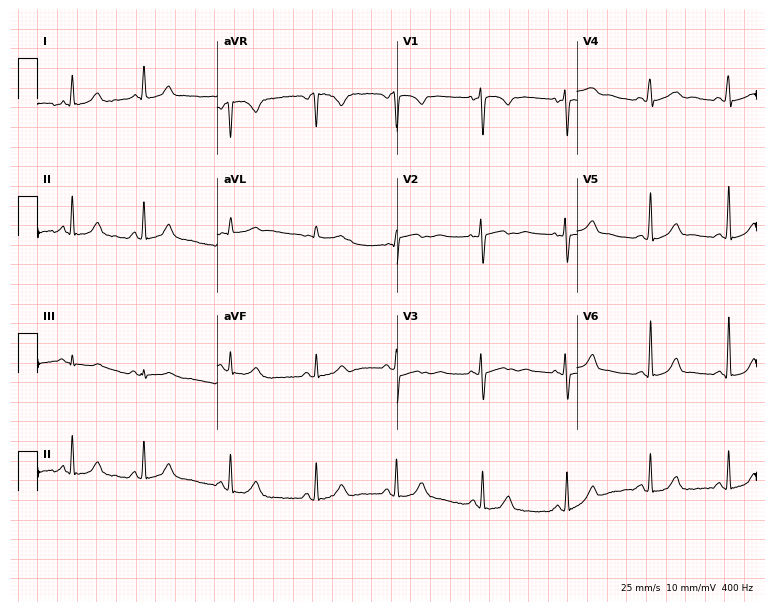
Standard 12-lead ECG recorded from a female patient, 29 years old (7.3-second recording at 400 Hz). None of these six findings is recorded: first-degree AV block, right bundle branch block (RBBB), left bundle branch block (LBBB), sinus bradycardia, atrial fibrillation (AF), sinus tachycardia.